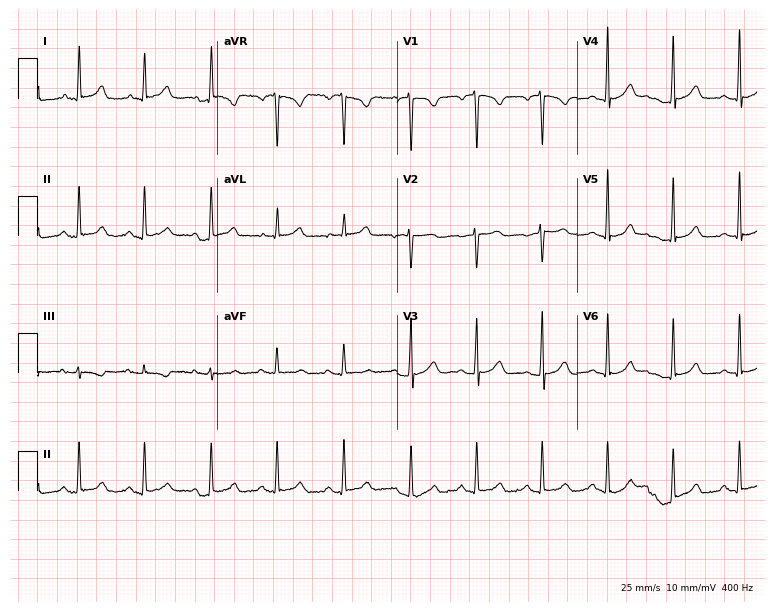
Resting 12-lead electrocardiogram. Patient: a female, 23 years old. Read as a normal ECG.